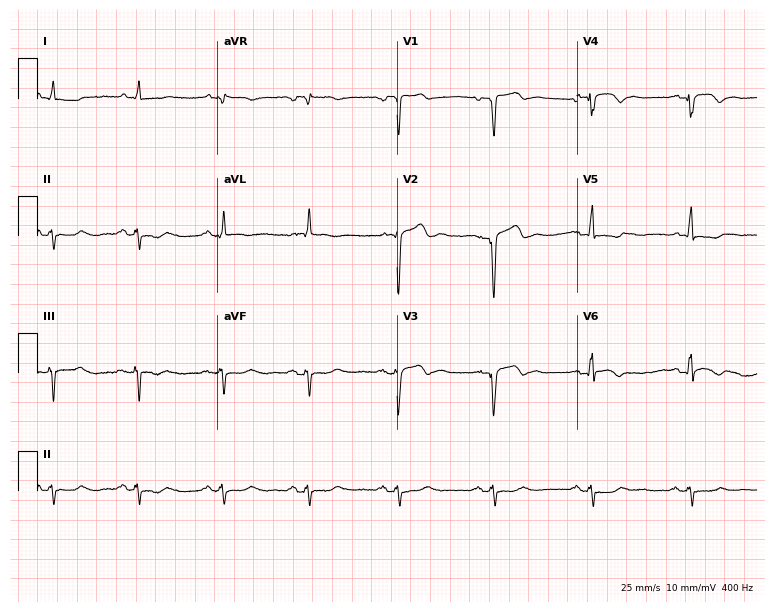
Resting 12-lead electrocardiogram (7.3-second recording at 400 Hz). Patient: a male, 64 years old. None of these six findings is recorded: first-degree AV block, right bundle branch block, left bundle branch block, sinus bradycardia, atrial fibrillation, sinus tachycardia.